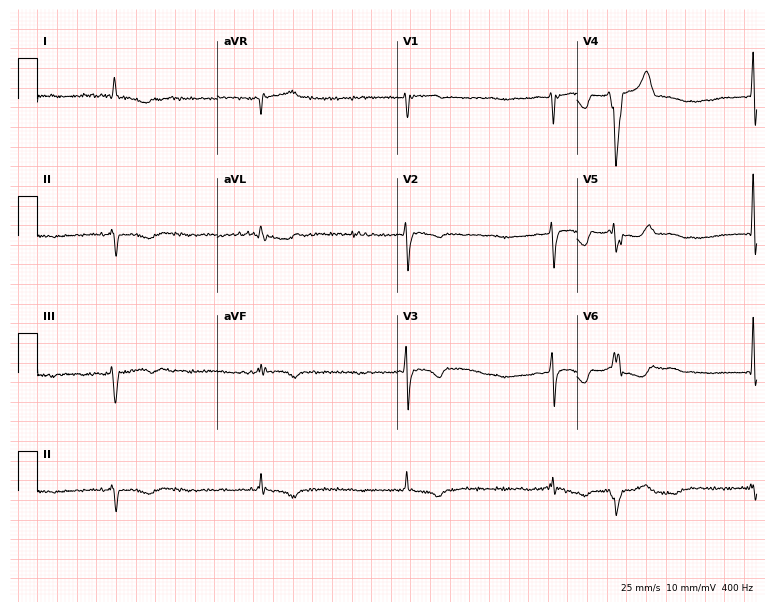
Resting 12-lead electrocardiogram (7.3-second recording at 400 Hz). Patient: a female, 62 years old. The tracing shows atrial fibrillation.